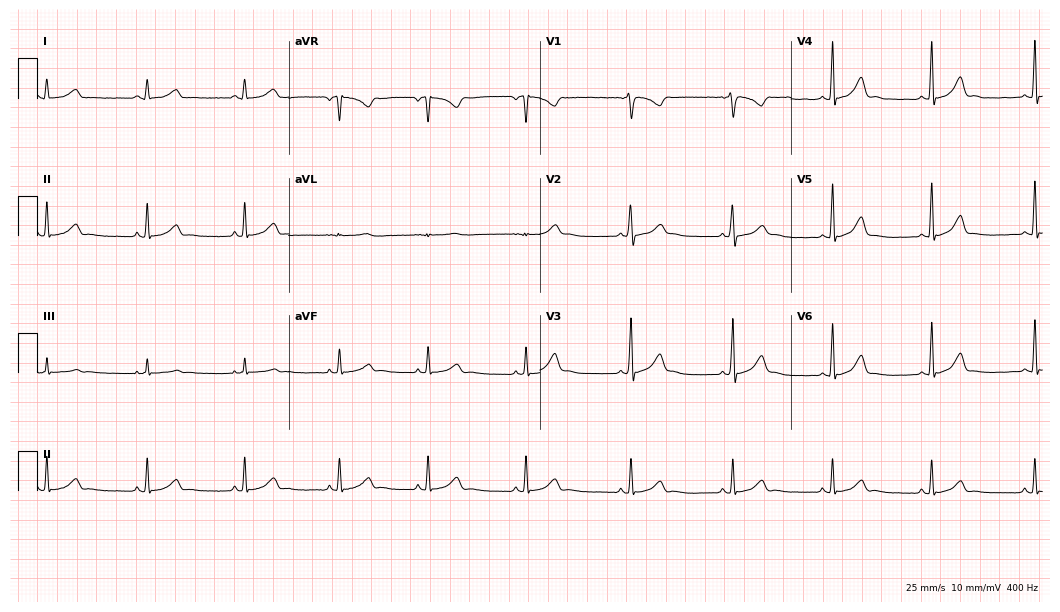
Resting 12-lead electrocardiogram (10.2-second recording at 400 Hz). Patient: a 17-year-old woman. Read as a normal ECG.